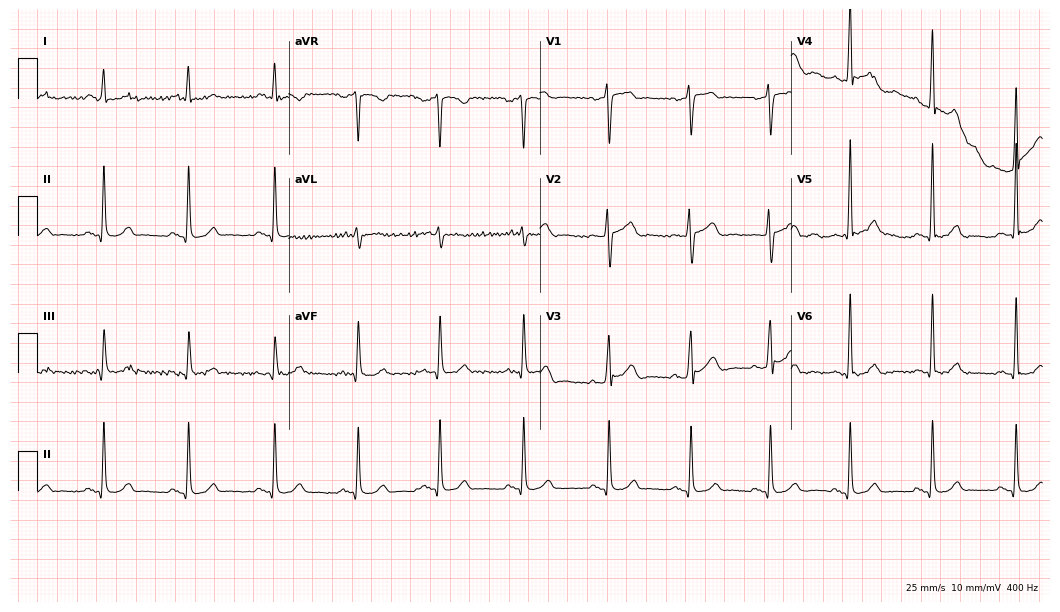
Electrocardiogram (10.2-second recording at 400 Hz), a 60-year-old male. Overall reading on record: normal ECG.